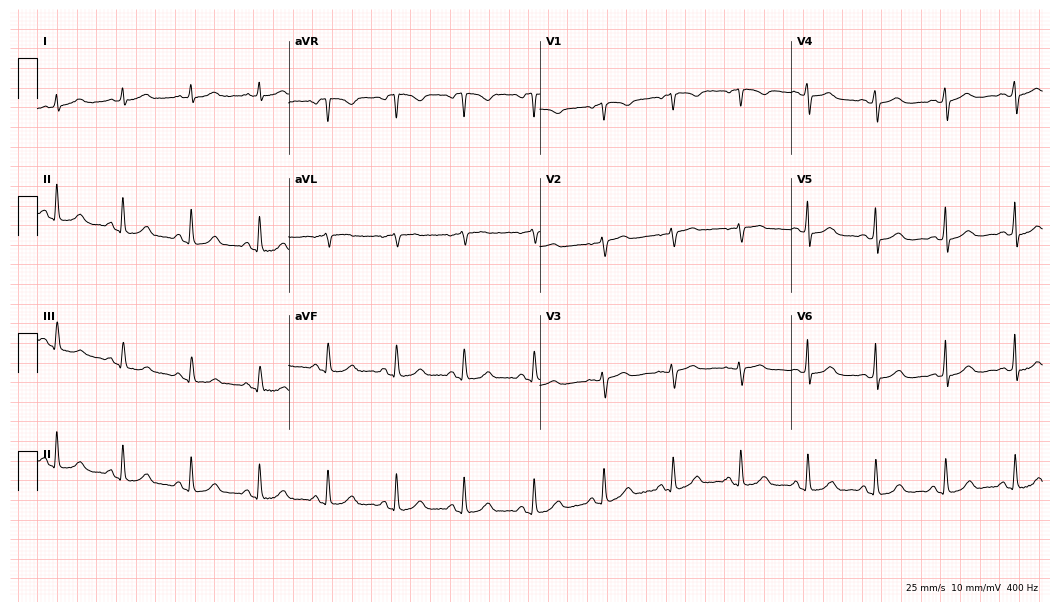
Standard 12-lead ECG recorded from a female patient, 57 years old. Read as a normal ECG.